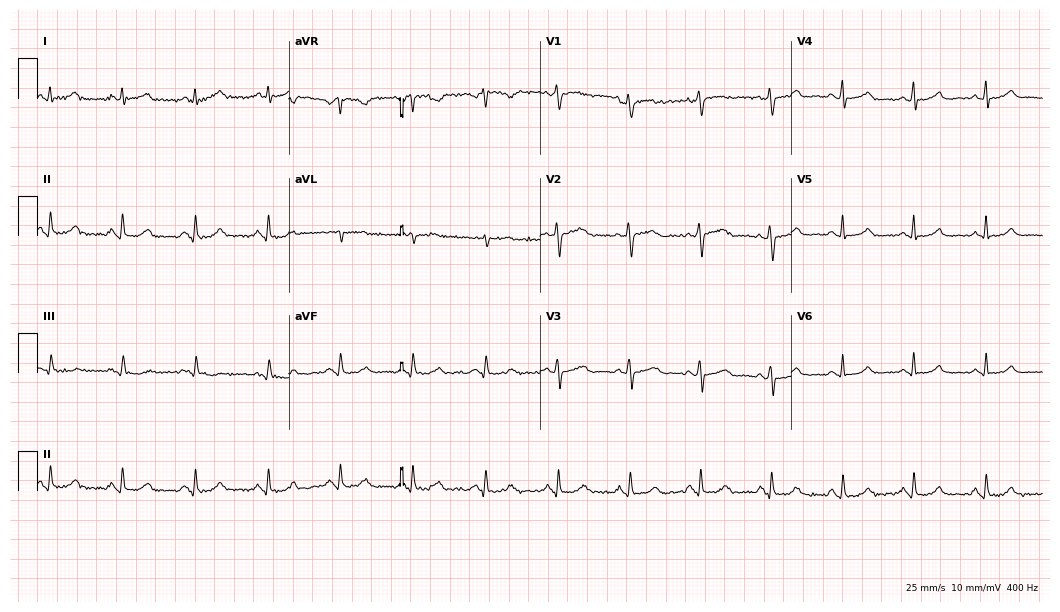
12-lead ECG from a woman, 35 years old. Labelled as a normal ECG.